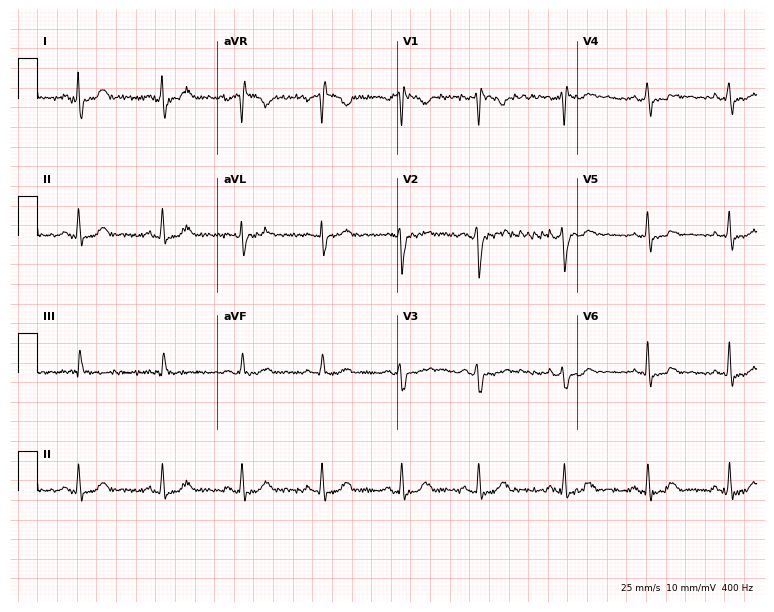
Electrocardiogram, a 32-year-old female. Of the six screened findings (first-degree AV block, right bundle branch block, left bundle branch block, sinus bradycardia, atrial fibrillation, sinus tachycardia), none is recorded.